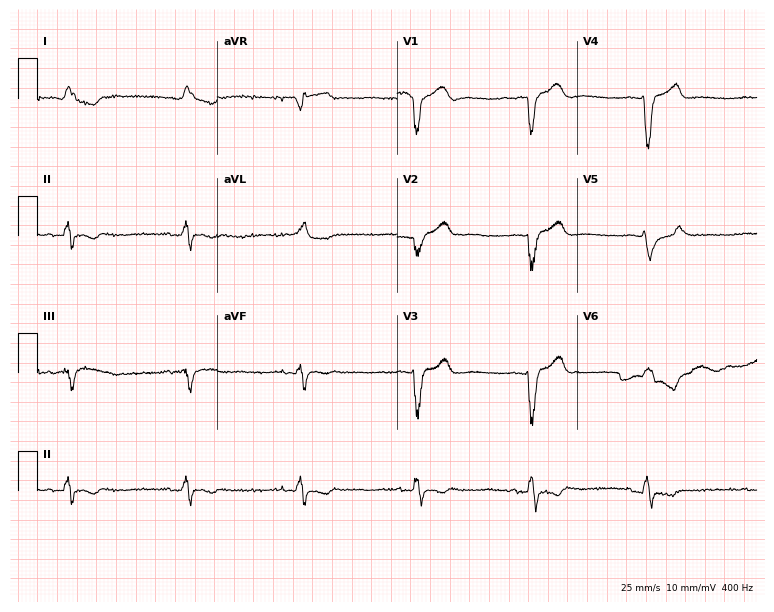
12-lead ECG (7.3-second recording at 400 Hz) from an 83-year-old man. Findings include left bundle branch block, sinus bradycardia (a sinus rate of 50 beats per minute or less).